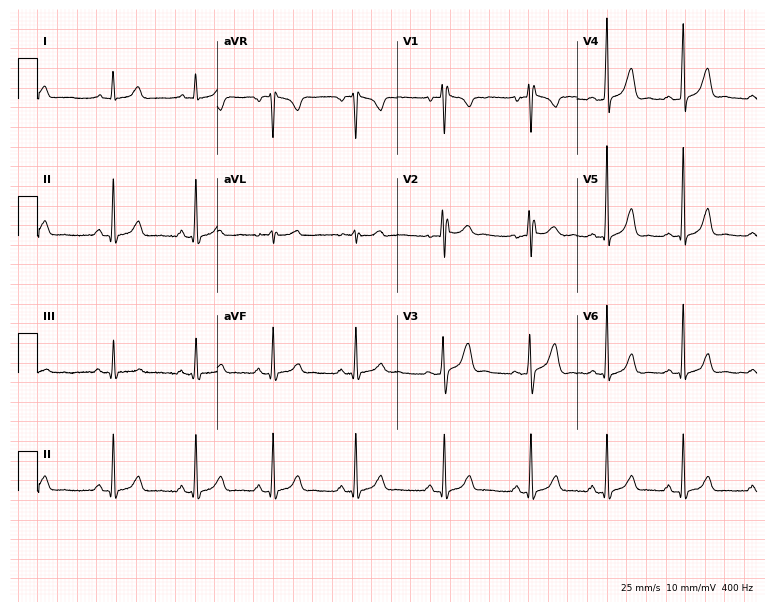
12-lead ECG from a female patient, 17 years old (7.3-second recording at 400 Hz). Recorded interpretation: within normal limits.